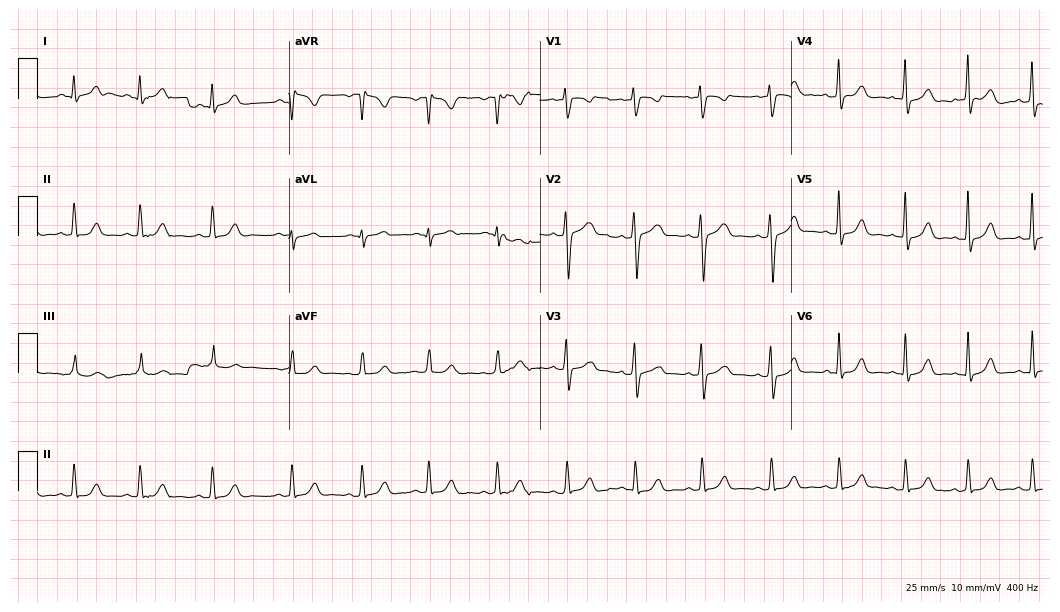
Electrocardiogram, a woman, 25 years old. Of the six screened findings (first-degree AV block, right bundle branch block, left bundle branch block, sinus bradycardia, atrial fibrillation, sinus tachycardia), none is recorded.